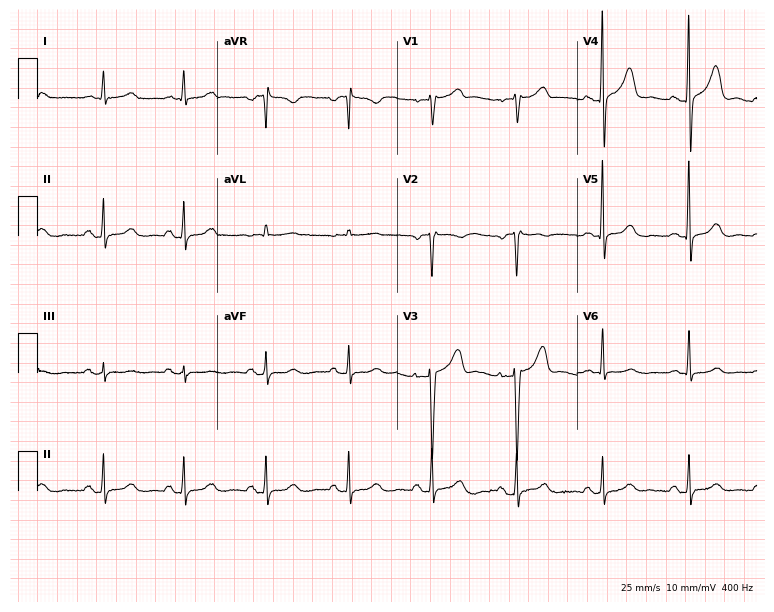
12-lead ECG (7.3-second recording at 400 Hz) from a female, 45 years old. Labelled as a normal ECG.